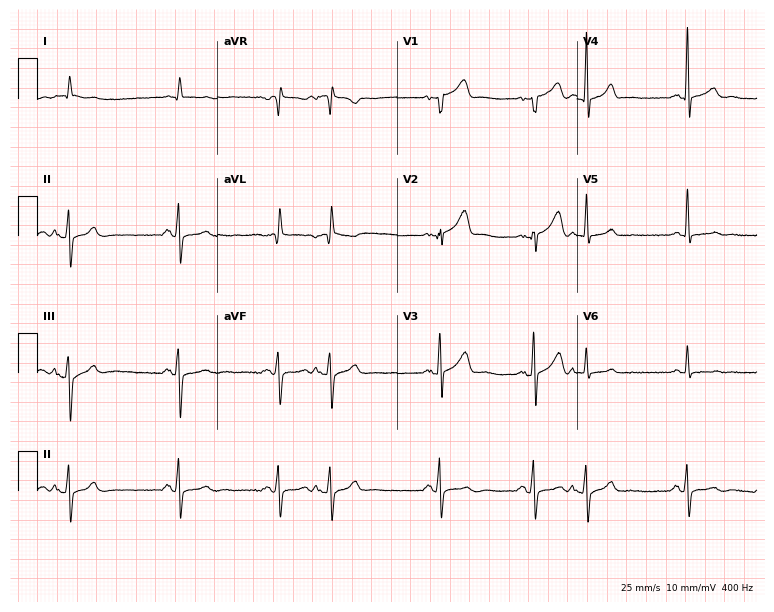
Electrocardiogram (7.3-second recording at 400 Hz), a male patient, 54 years old. Of the six screened findings (first-degree AV block, right bundle branch block, left bundle branch block, sinus bradycardia, atrial fibrillation, sinus tachycardia), none is recorded. Findings outside these six are not listed.